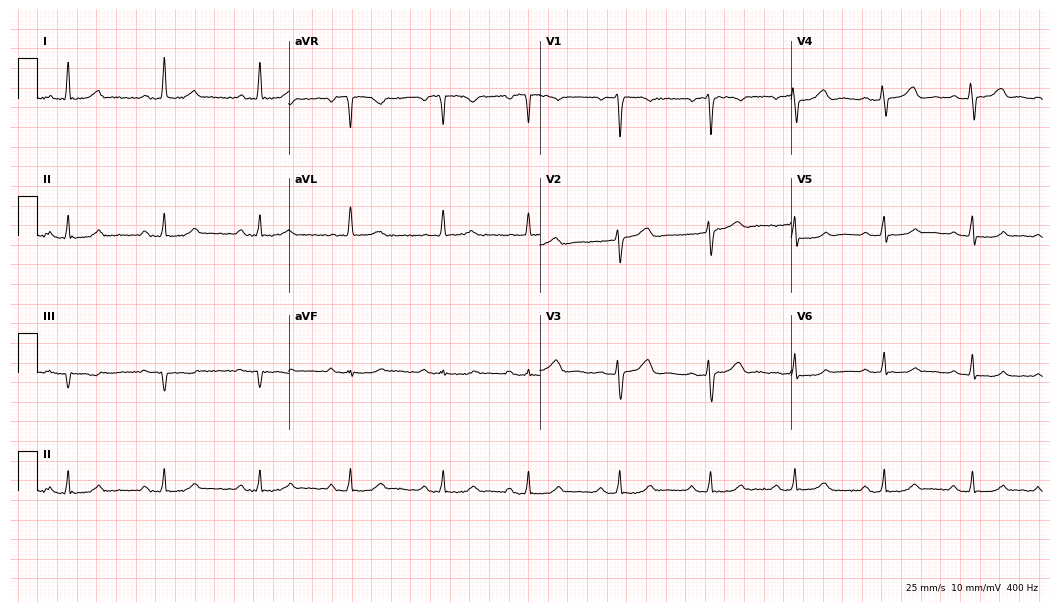
12-lead ECG from a female patient, 43 years old. No first-degree AV block, right bundle branch block (RBBB), left bundle branch block (LBBB), sinus bradycardia, atrial fibrillation (AF) or sinus tachycardia recorded for this tracing. Only these six findings were labelled.